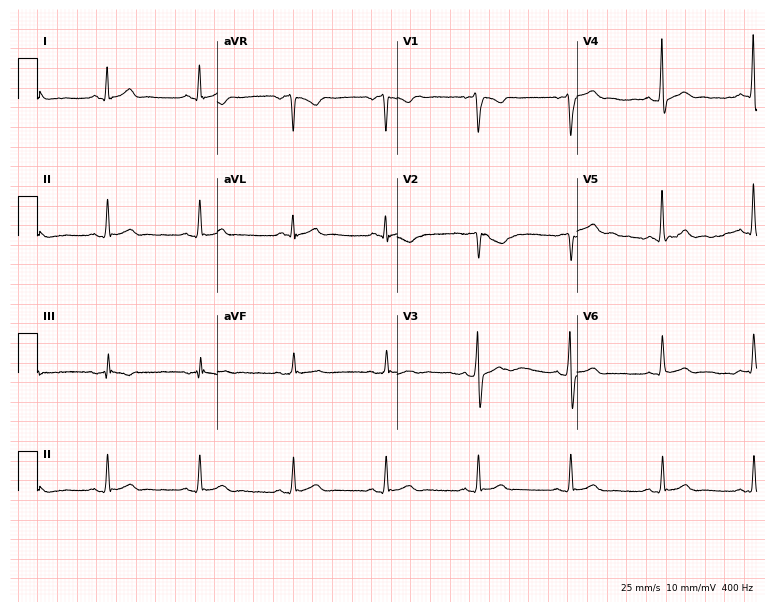
Resting 12-lead electrocardiogram (7.3-second recording at 400 Hz). Patient: a male, 31 years old. Read as a normal ECG.